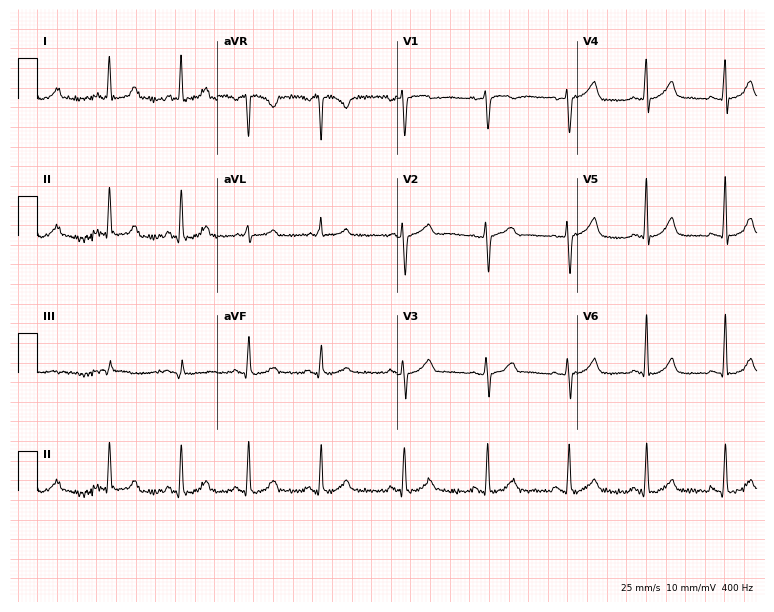
ECG — a 39-year-old female. Screened for six findings — first-degree AV block, right bundle branch block, left bundle branch block, sinus bradycardia, atrial fibrillation, sinus tachycardia — none is recorded. Other findings, if any, are not listed.